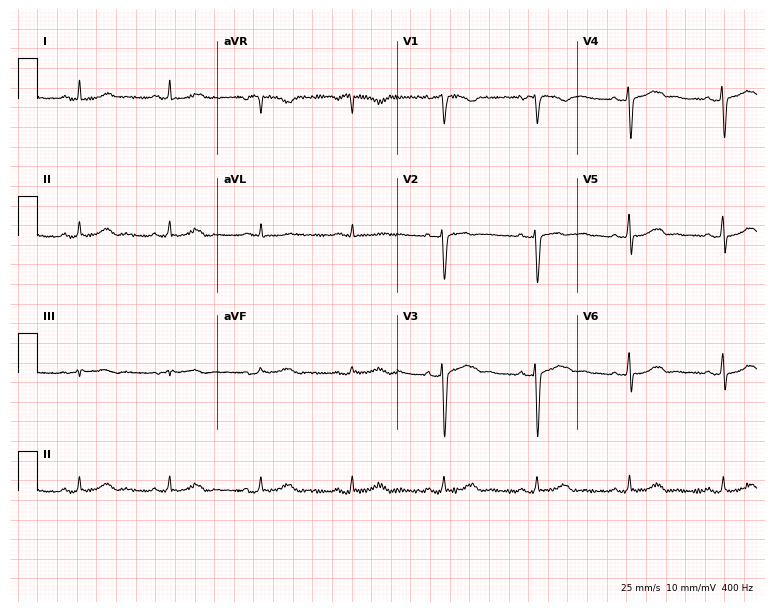
Electrocardiogram (7.3-second recording at 400 Hz), a woman, 39 years old. Of the six screened findings (first-degree AV block, right bundle branch block, left bundle branch block, sinus bradycardia, atrial fibrillation, sinus tachycardia), none is recorded.